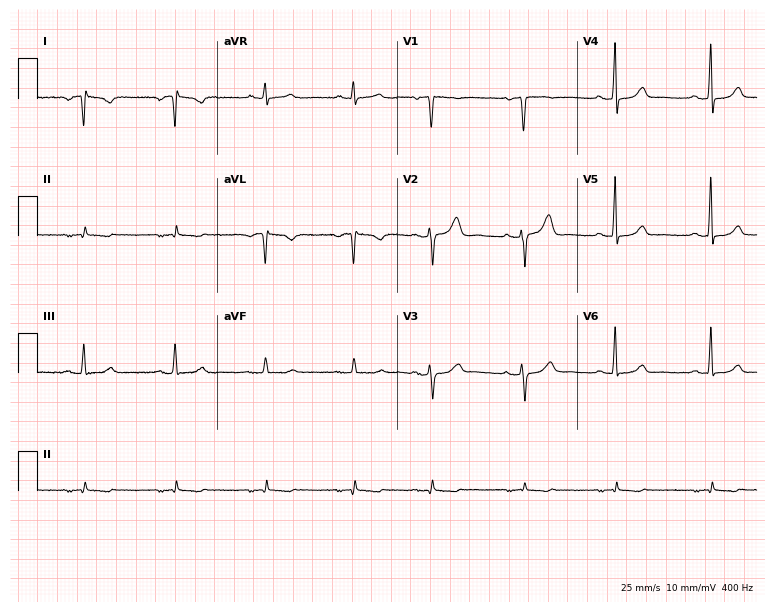
ECG — a female patient, 38 years old. Screened for six findings — first-degree AV block, right bundle branch block, left bundle branch block, sinus bradycardia, atrial fibrillation, sinus tachycardia — none is recorded. Other findings, if any, are not listed.